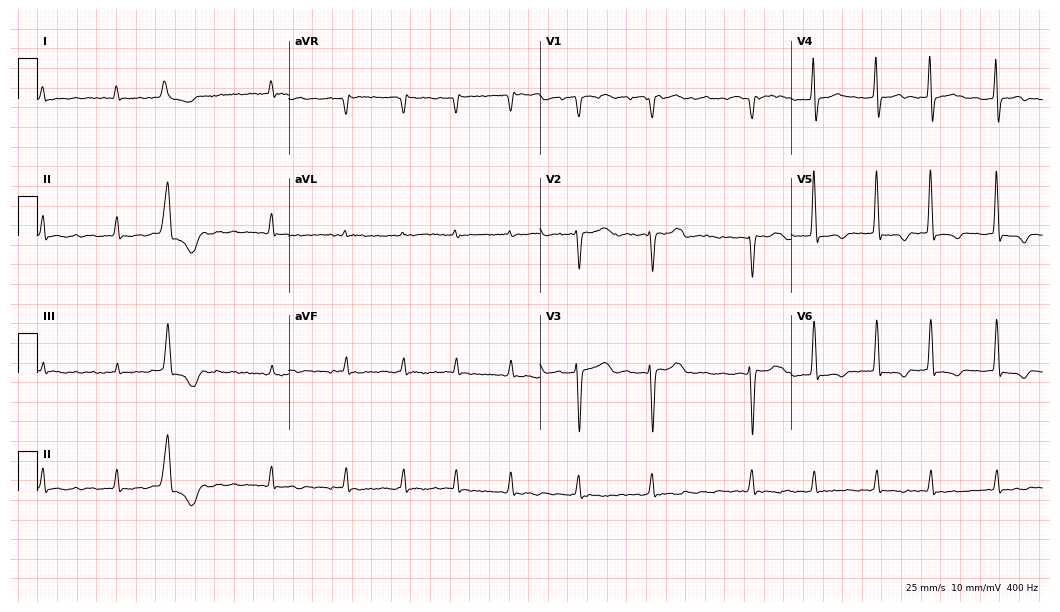
12-lead ECG (10.2-second recording at 400 Hz) from a 65-year-old woman. Findings include atrial fibrillation (AF).